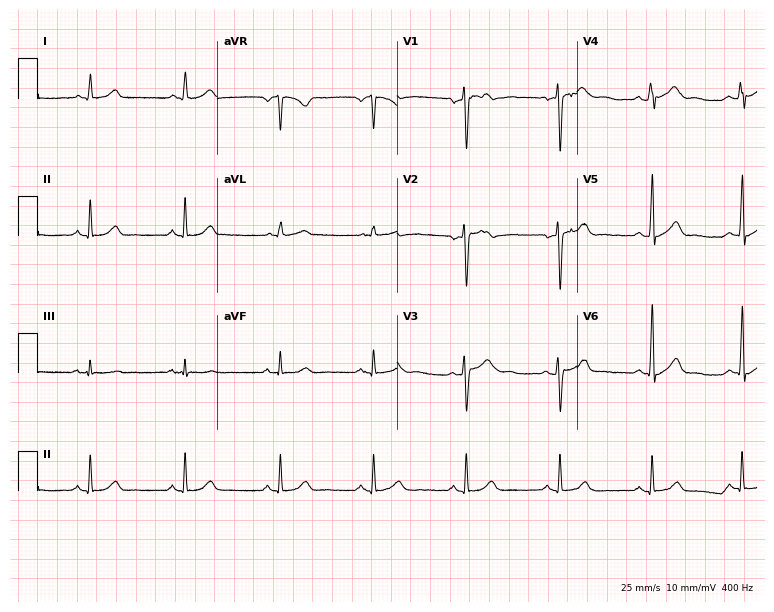
12-lead ECG from a male patient, 38 years old (7.3-second recording at 400 Hz). No first-degree AV block, right bundle branch block, left bundle branch block, sinus bradycardia, atrial fibrillation or sinus tachycardia recorded for this tracing. Findings outside these six are not listed.